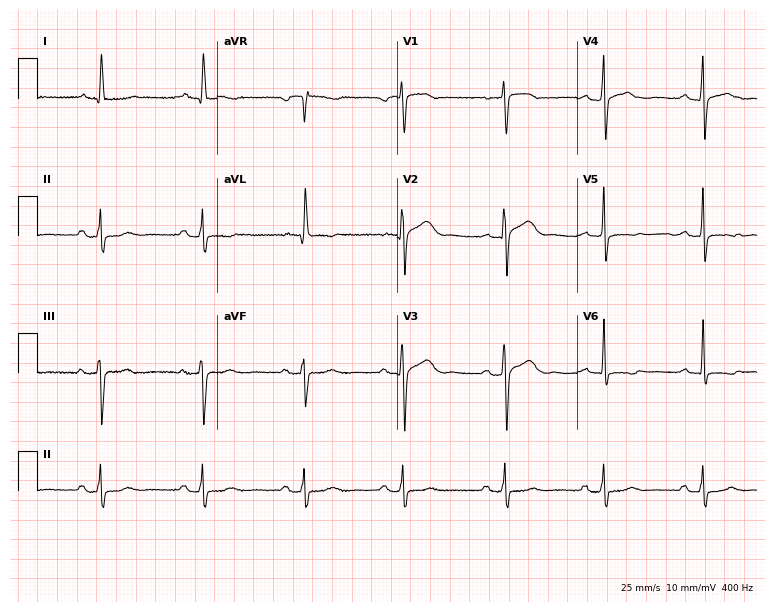
12-lead ECG (7.3-second recording at 400 Hz) from a woman, 51 years old. Screened for six findings — first-degree AV block, right bundle branch block, left bundle branch block, sinus bradycardia, atrial fibrillation, sinus tachycardia — none is recorded. Other findings, if any, are not listed.